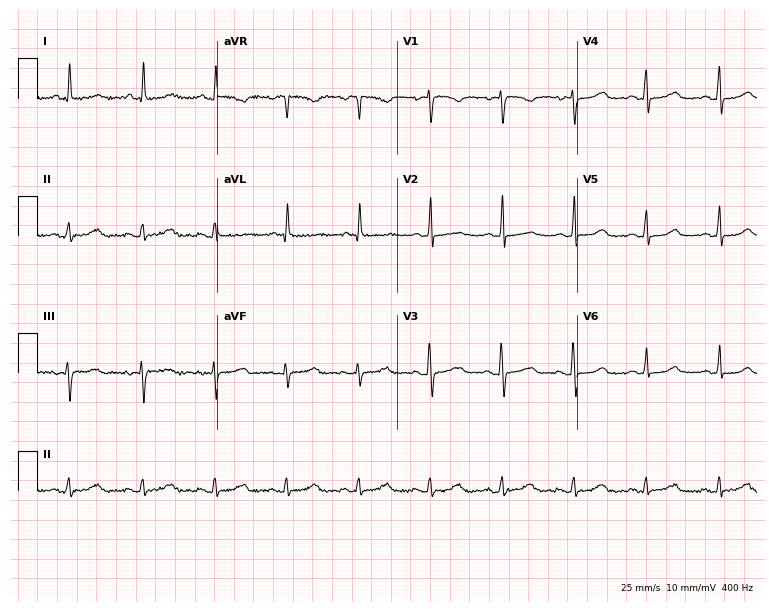
12-lead ECG from a woman, 59 years old. Screened for six findings — first-degree AV block, right bundle branch block, left bundle branch block, sinus bradycardia, atrial fibrillation, sinus tachycardia — none is recorded.